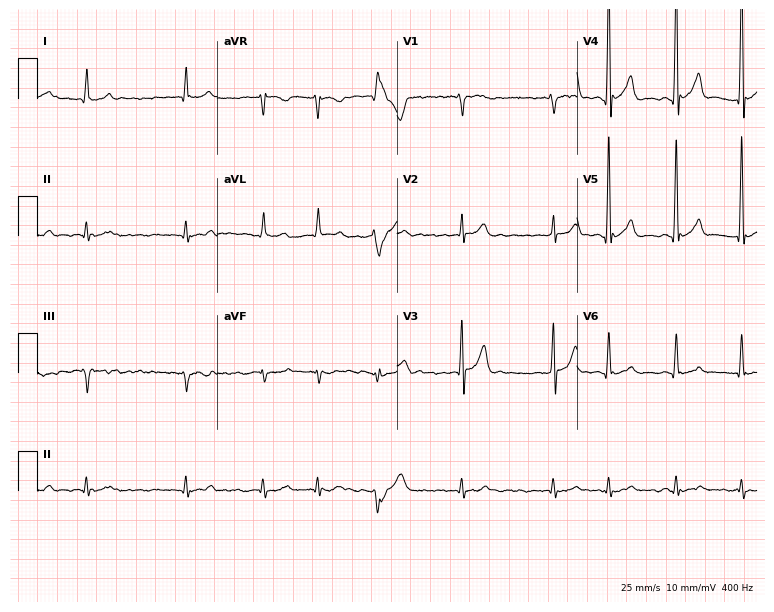
Electrocardiogram, a 72-year-old man. Interpretation includes atrial fibrillation.